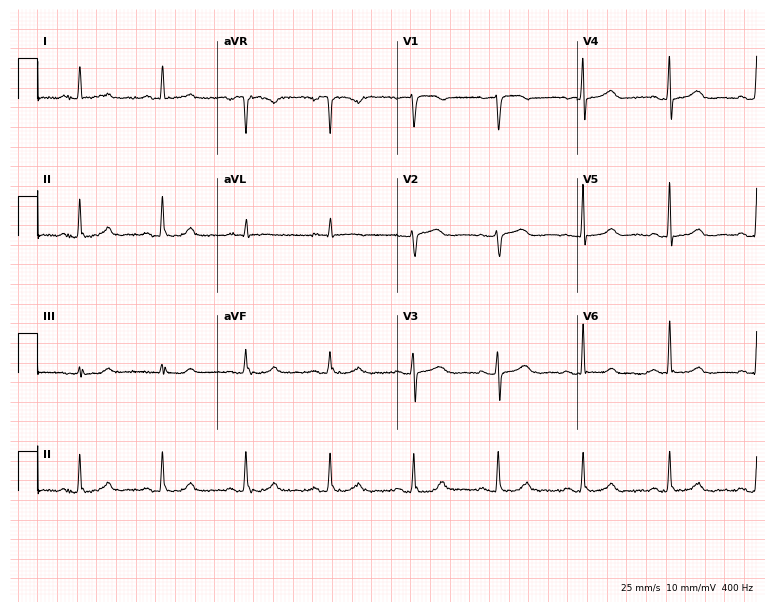
12-lead ECG from a 56-year-old female patient. Recorded interpretation: within normal limits.